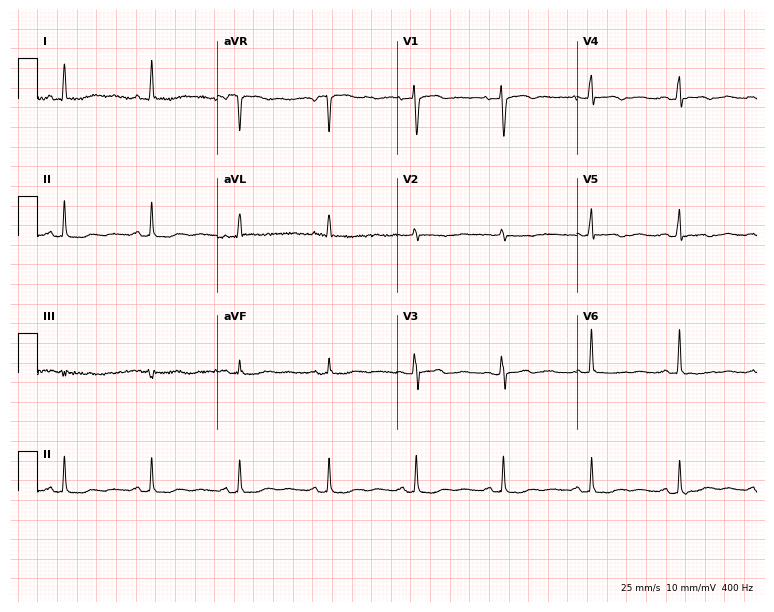
Standard 12-lead ECG recorded from a 61-year-old female patient (7.3-second recording at 400 Hz). None of these six findings is recorded: first-degree AV block, right bundle branch block, left bundle branch block, sinus bradycardia, atrial fibrillation, sinus tachycardia.